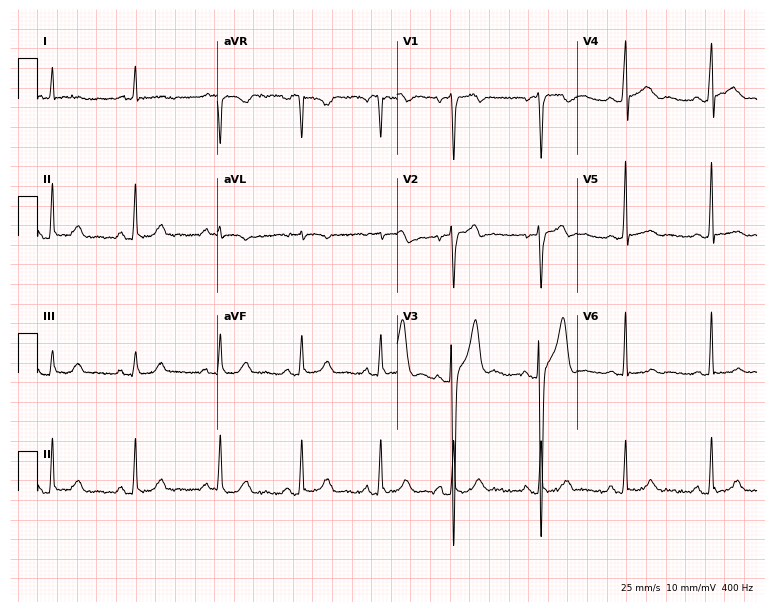
12-lead ECG from a 37-year-old man. Screened for six findings — first-degree AV block, right bundle branch block, left bundle branch block, sinus bradycardia, atrial fibrillation, sinus tachycardia — none is recorded. Other findings, if any, are not listed.